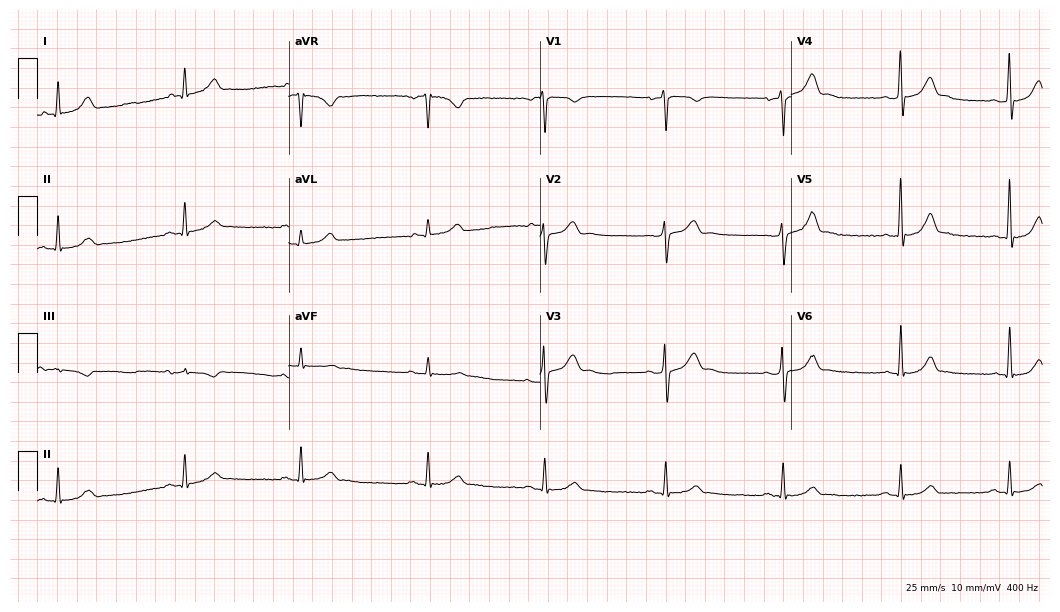
12-lead ECG from a 51-year-old male. Findings include sinus bradycardia (a sinus rate of 50 beats per minute or less).